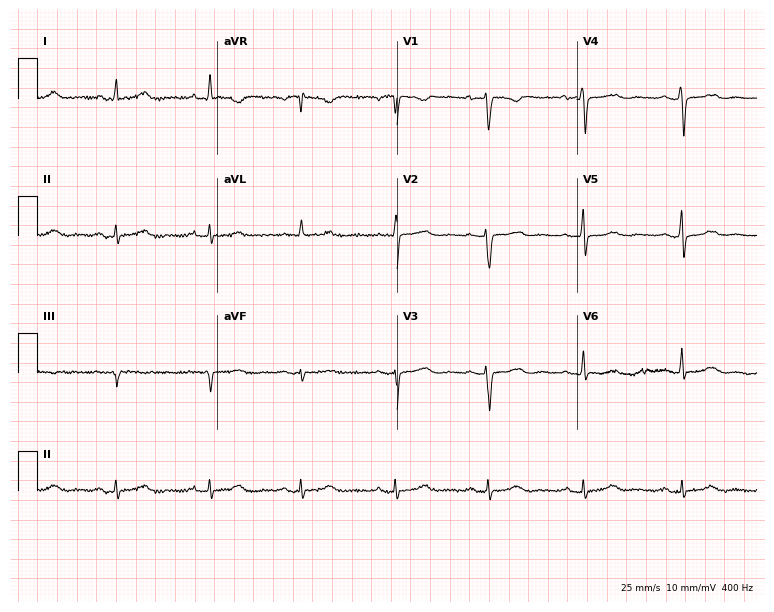
Resting 12-lead electrocardiogram. Patient: a female, 59 years old. None of these six findings is recorded: first-degree AV block, right bundle branch block, left bundle branch block, sinus bradycardia, atrial fibrillation, sinus tachycardia.